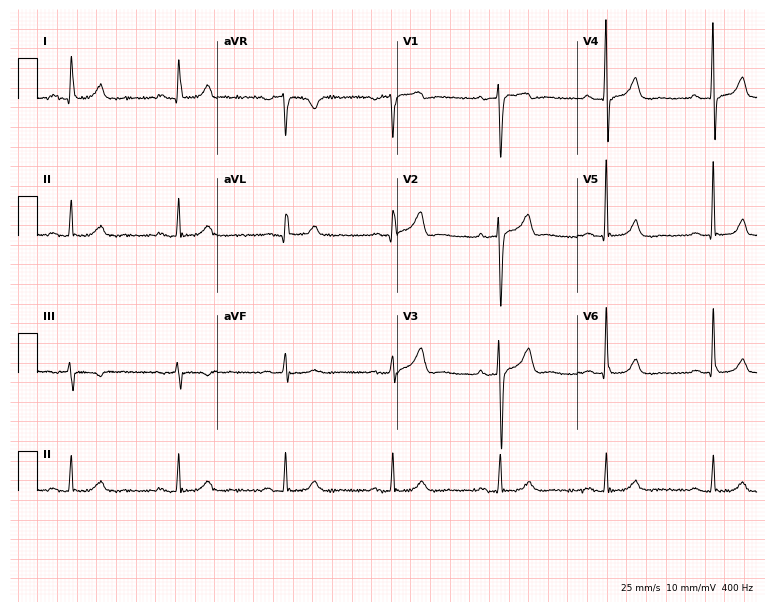
12-lead ECG from a male patient, 51 years old. Screened for six findings — first-degree AV block, right bundle branch block, left bundle branch block, sinus bradycardia, atrial fibrillation, sinus tachycardia — none is recorded.